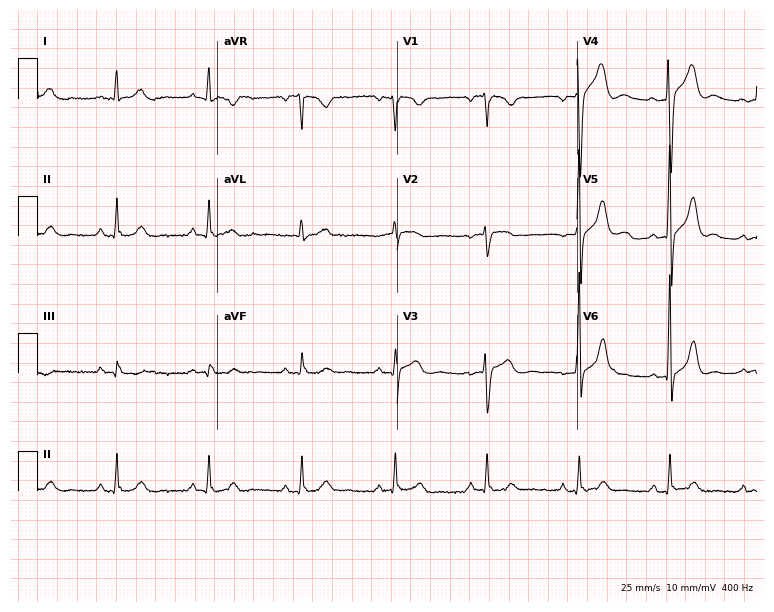
Resting 12-lead electrocardiogram (7.3-second recording at 400 Hz). Patient: a male, 60 years old. Read as a normal ECG.